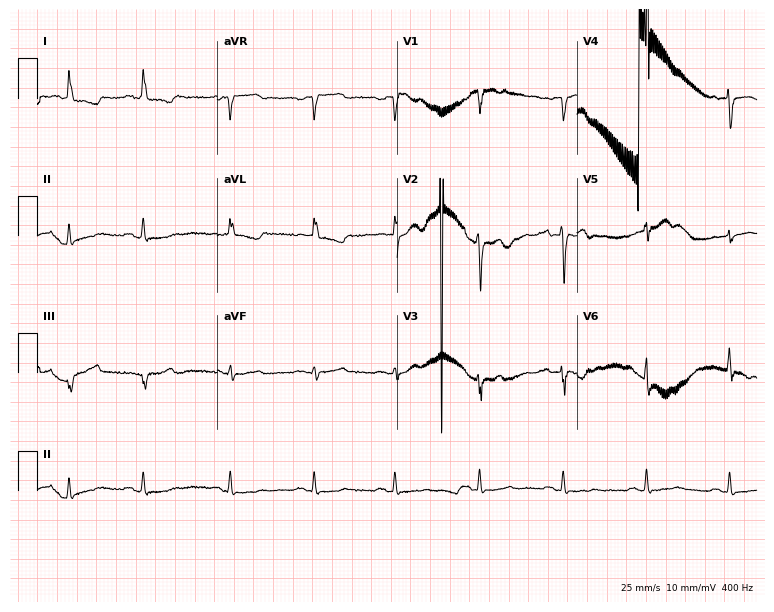
Resting 12-lead electrocardiogram. Patient: an 84-year-old woman. None of these six findings is recorded: first-degree AV block, right bundle branch block (RBBB), left bundle branch block (LBBB), sinus bradycardia, atrial fibrillation (AF), sinus tachycardia.